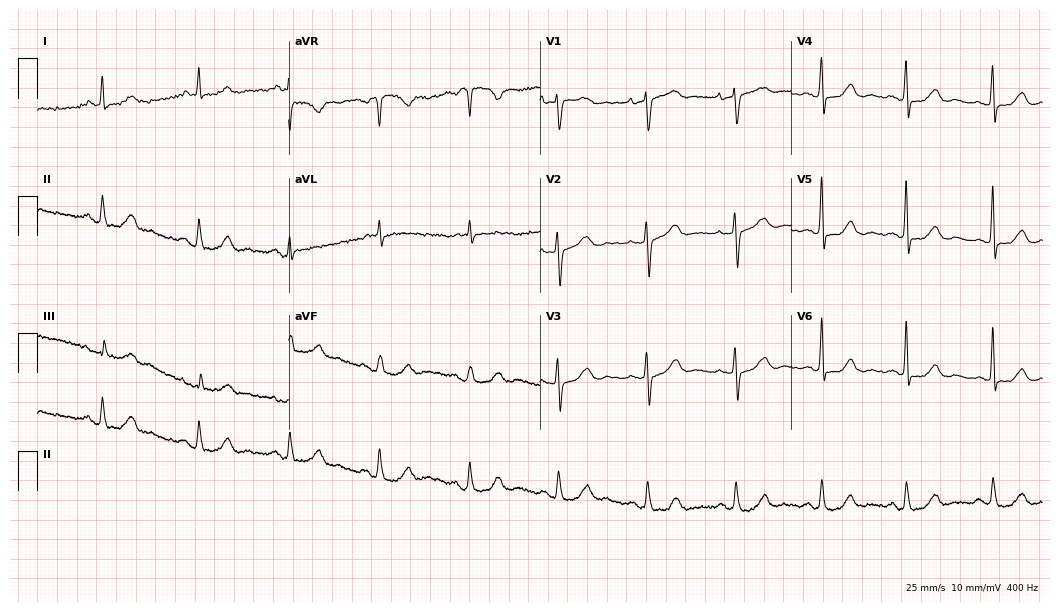
12-lead ECG from an 85-year-old female patient (10.2-second recording at 400 Hz). No first-degree AV block, right bundle branch block (RBBB), left bundle branch block (LBBB), sinus bradycardia, atrial fibrillation (AF) or sinus tachycardia recorded for this tracing. Only these six findings were labelled.